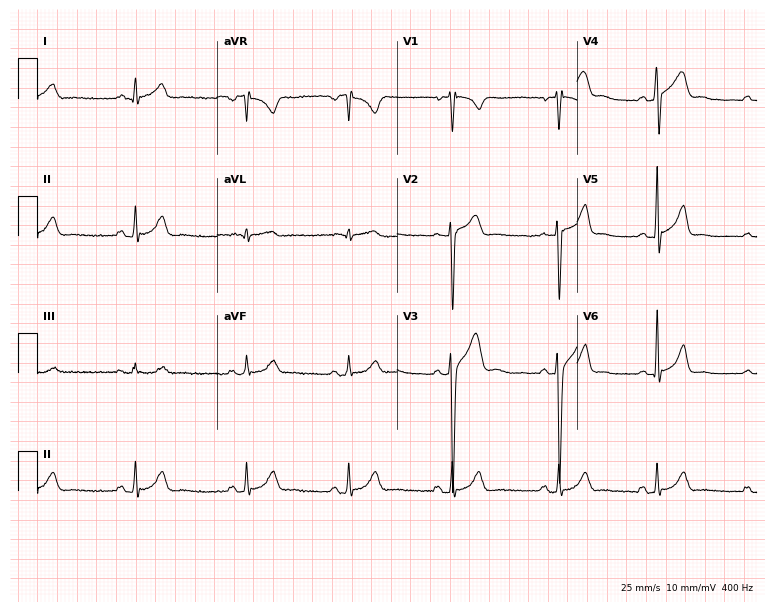
Electrocardiogram, a 21-year-old man. Of the six screened findings (first-degree AV block, right bundle branch block, left bundle branch block, sinus bradycardia, atrial fibrillation, sinus tachycardia), none is recorded.